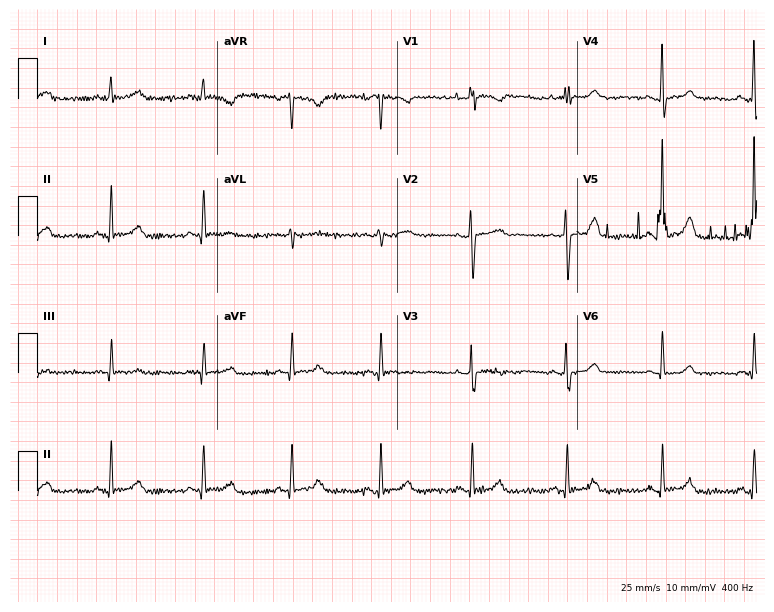
ECG — a woman, 41 years old. Labelled as a normal ECG.